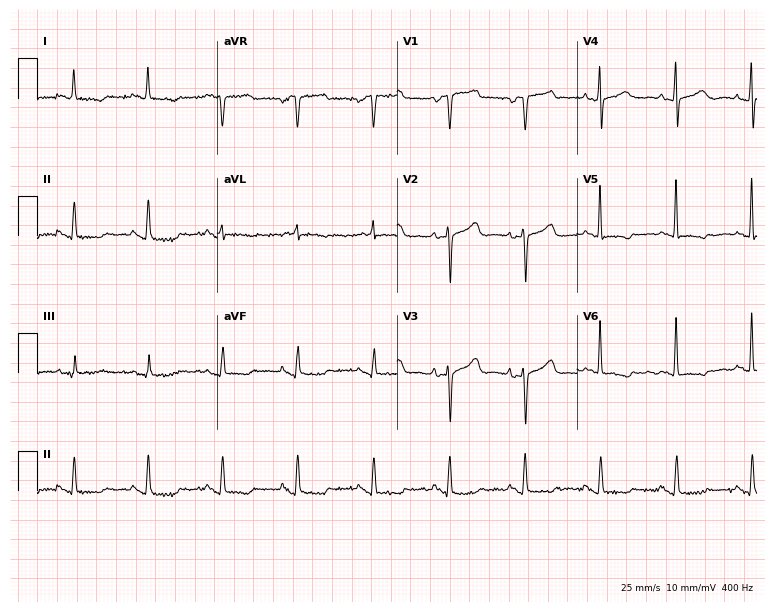
12-lead ECG from a 43-year-old woman. Screened for six findings — first-degree AV block, right bundle branch block, left bundle branch block, sinus bradycardia, atrial fibrillation, sinus tachycardia — none is recorded. Only these six findings were labelled.